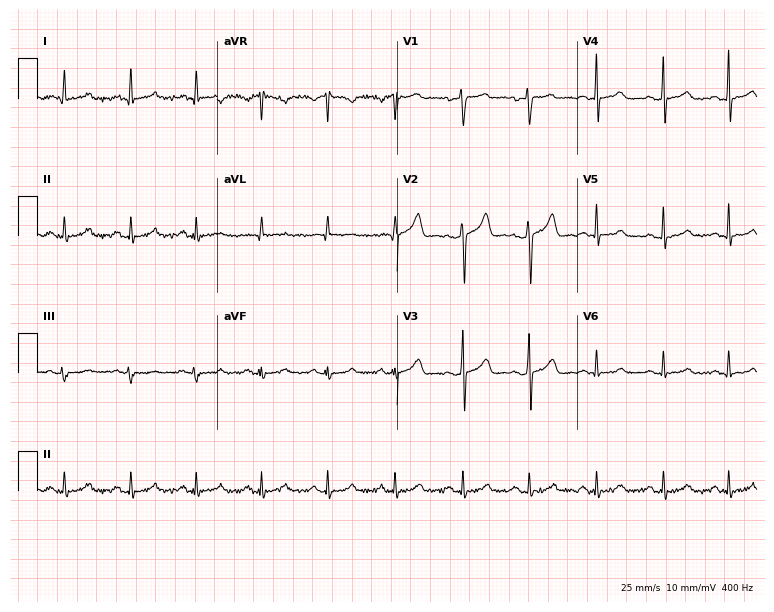
ECG (7.3-second recording at 400 Hz) — a 50-year-old man. Labelled as a normal ECG.